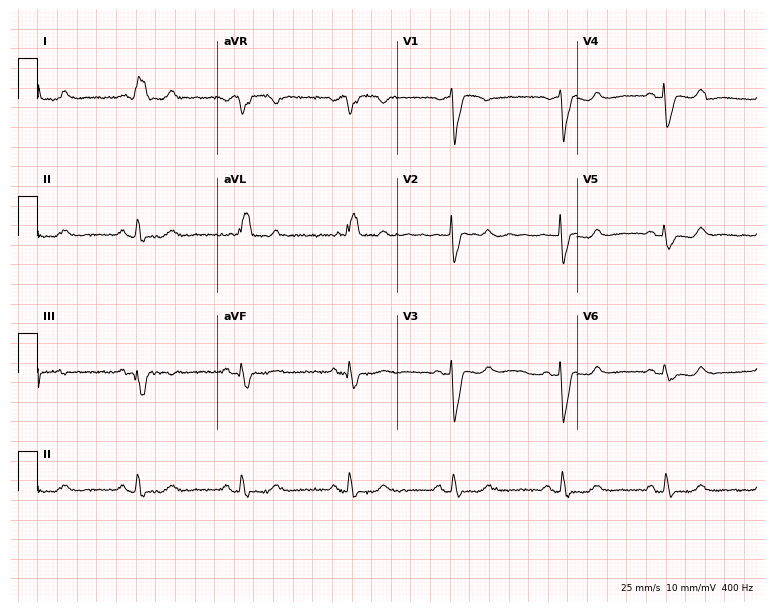
ECG — a female patient, 71 years old. Findings include left bundle branch block.